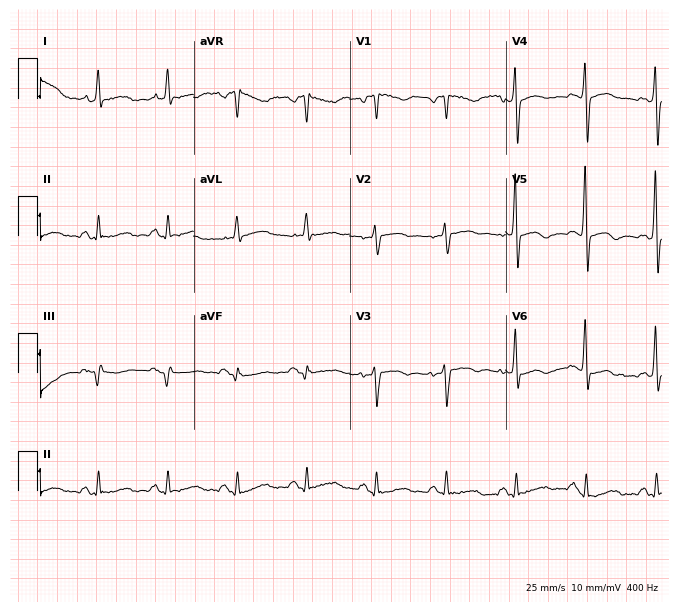
Resting 12-lead electrocardiogram (6.4-second recording at 400 Hz). Patient: a 58-year-old woman. None of these six findings is recorded: first-degree AV block, right bundle branch block (RBBB), left bundle branch block (LBBB), sinus bradycardia, atrial fibrillation (AF), sinus tachycardia.